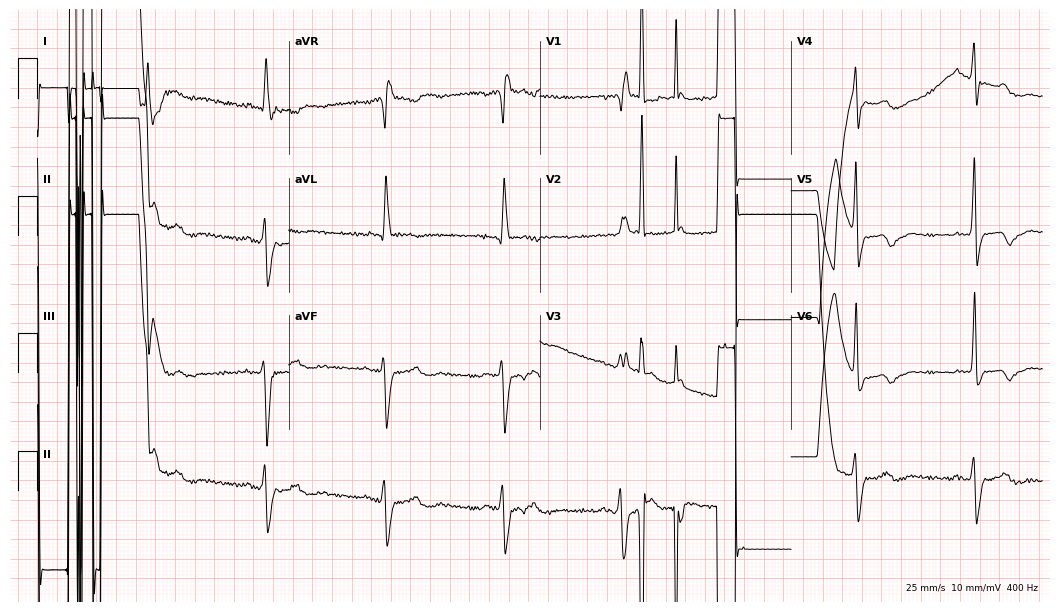
Resting 12-lead electrocardiogram (10.2-second recording at 400 Hz). Patient: a male, 83 years old. The tracing shows atrial fibrillation.